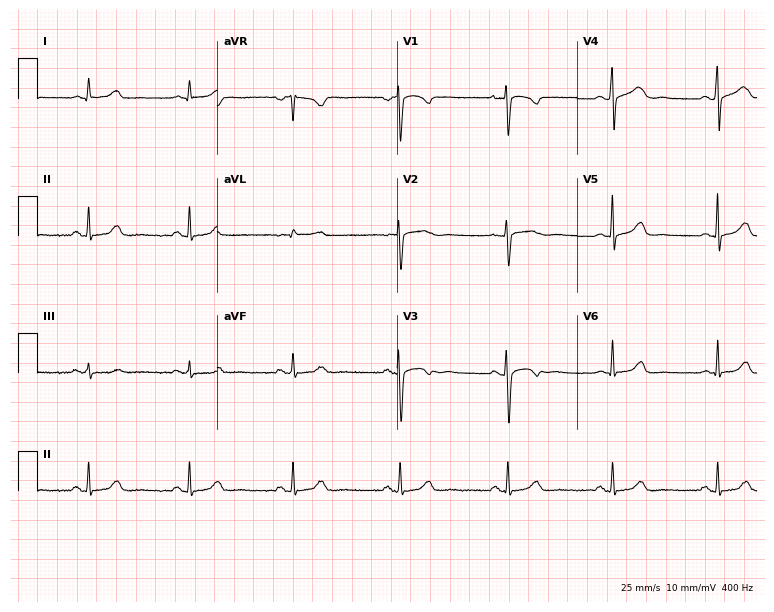
12-lead ECG (7.3-second recording at 400 Hz) from a 34-year-old female. Labelled as a normal ECG.